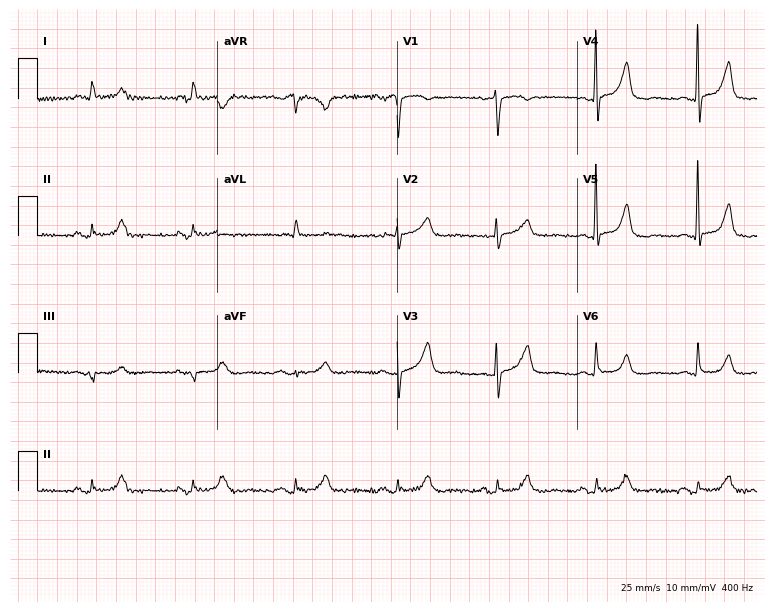
Standard 12-lead ECG recorded from an 84-year-old male. Read as a normal ECG.